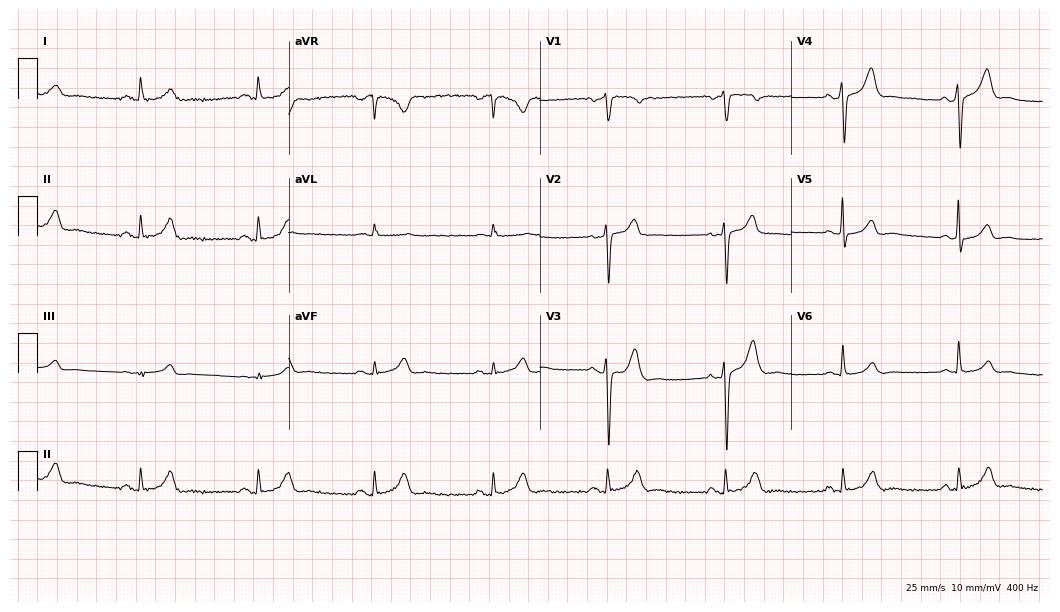
Standard 12-lead ECG recorded from a male, 66 years old (10.2-second recording at 400 Hz). Read as a normal ECG.